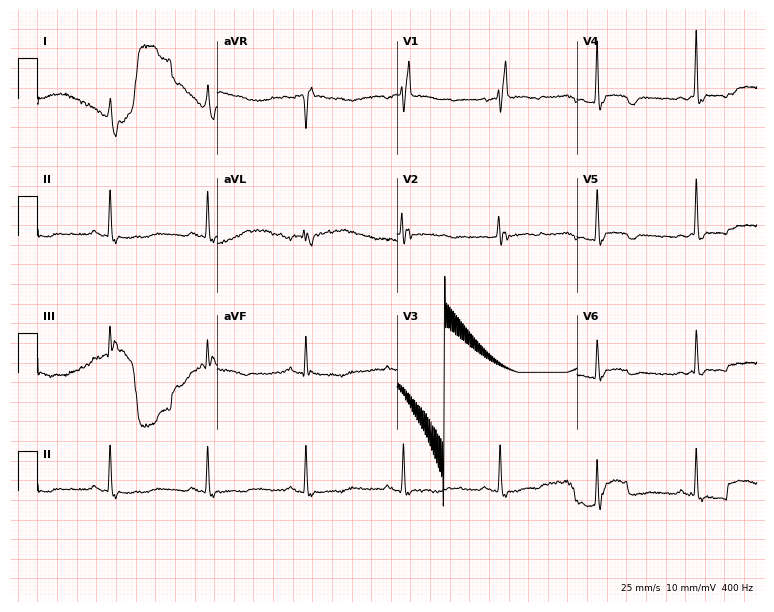
ECG (7.3-second recording at 400 Hz) — a 79-year-old female. Findings include atrial fibrillation.